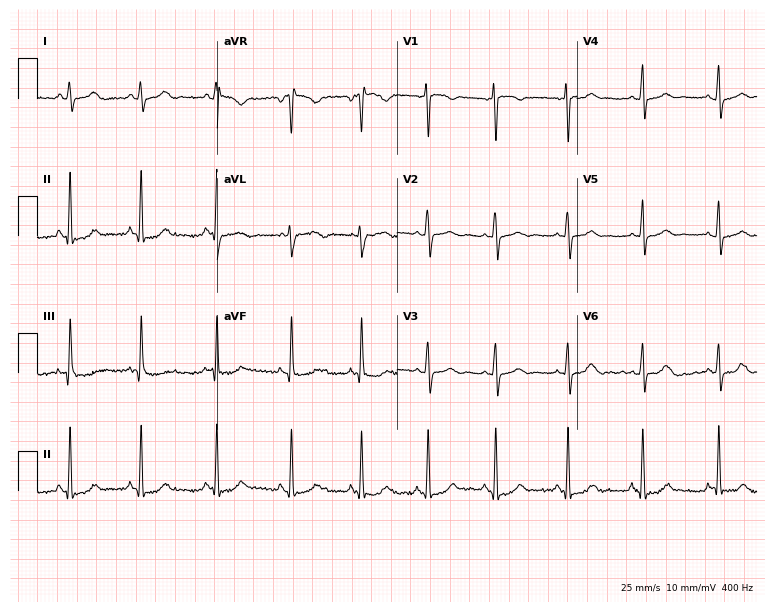
Electrocardiogram (7.3-second recording at 400 Hz), a female patient, 21 years old. Overall reading on record: normal ECG.